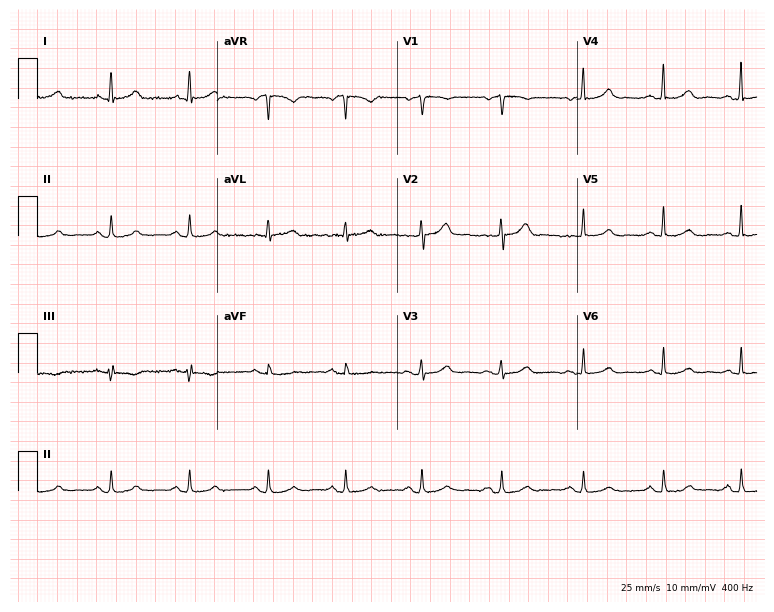
Resting 12-lead electrocardiogram (7.3-second recording at 400 Hz). Patient: a 45-year-old female. Read as a normal ECG.